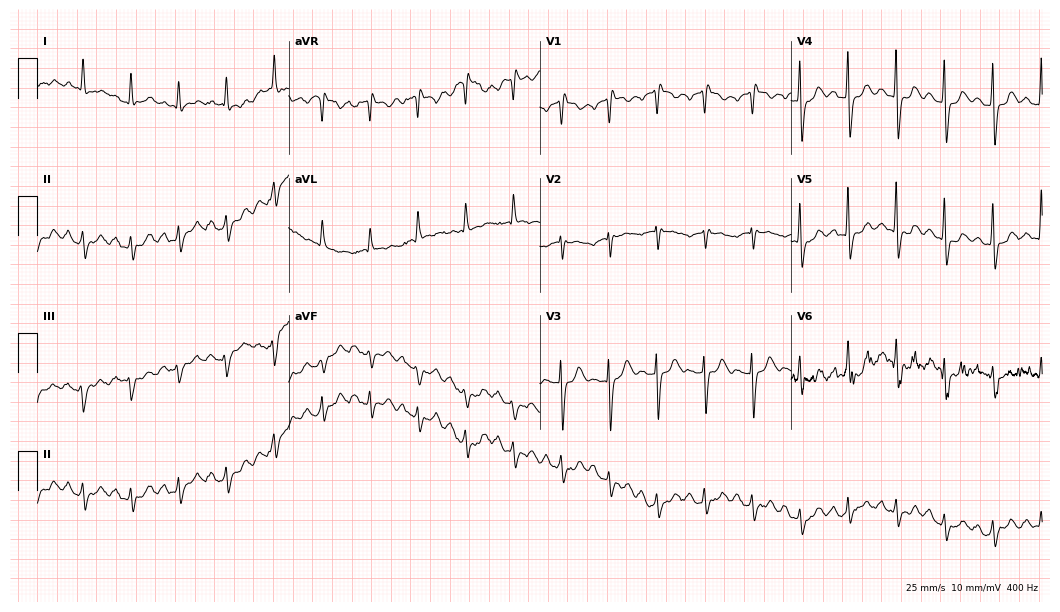
12-lead ECG (10.2-second recording at 400 Hz) from a male, 84 years old. Findings include sinus tachycardia (a sinus rate of 100 beats per minute or more).